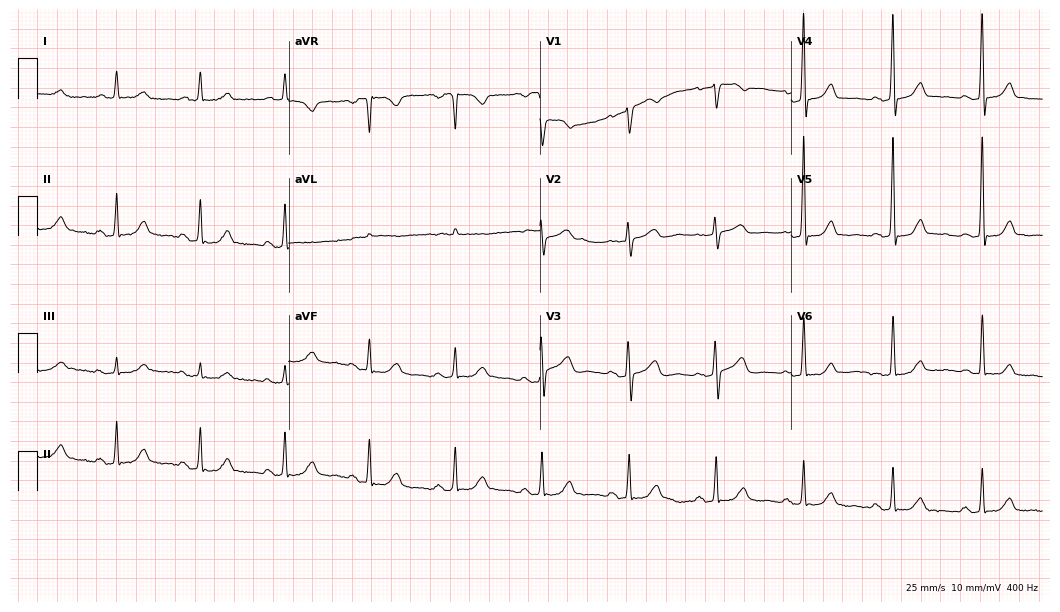
Resting 12-lead electrocardiogram (10.2-second recording at 400 Hz). Patient: a female, 62 years old. Read as a normal ECG.